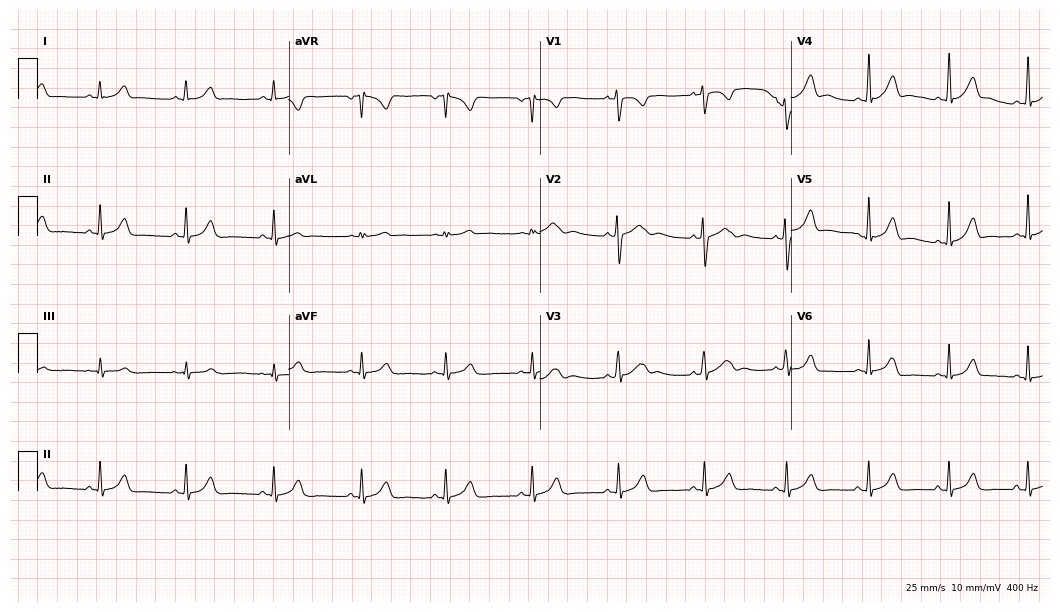
12-lead ECG from a female patient, 26 years old (10.2-second recording at 400 Hz). No first-degree AV block, right bundle branch block, left bundle branch block, sinus bradycardia, atrial fibrillation or sinus tachycardia recorded for this tracing.